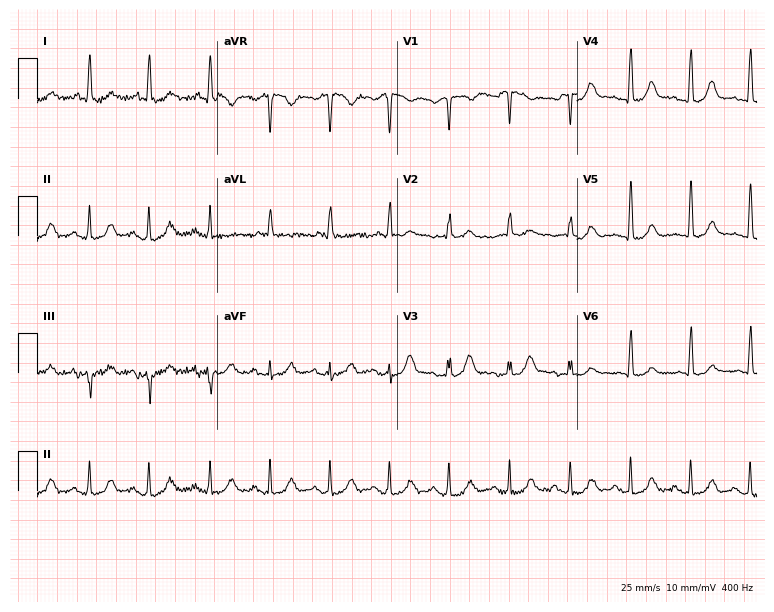
ECG (7.3-second recording at 400 Hz) — a female, 81 years old. Labelled as a normal ECG.